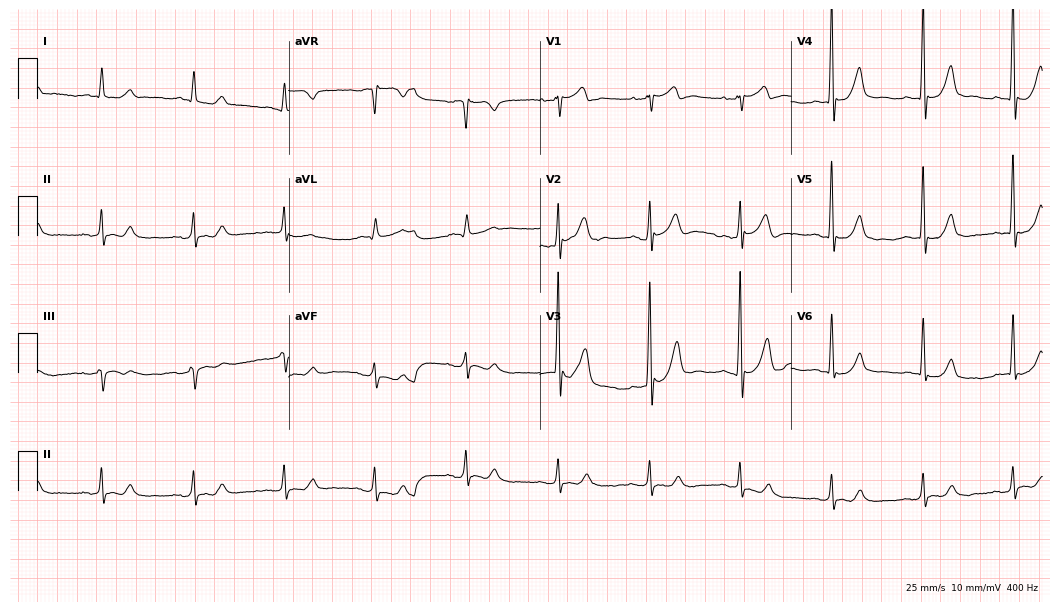
Standard 12-lead ECG recorded from a male, 65 years old (10.2-second recording at 400 Hz). Read as a normal ECG.